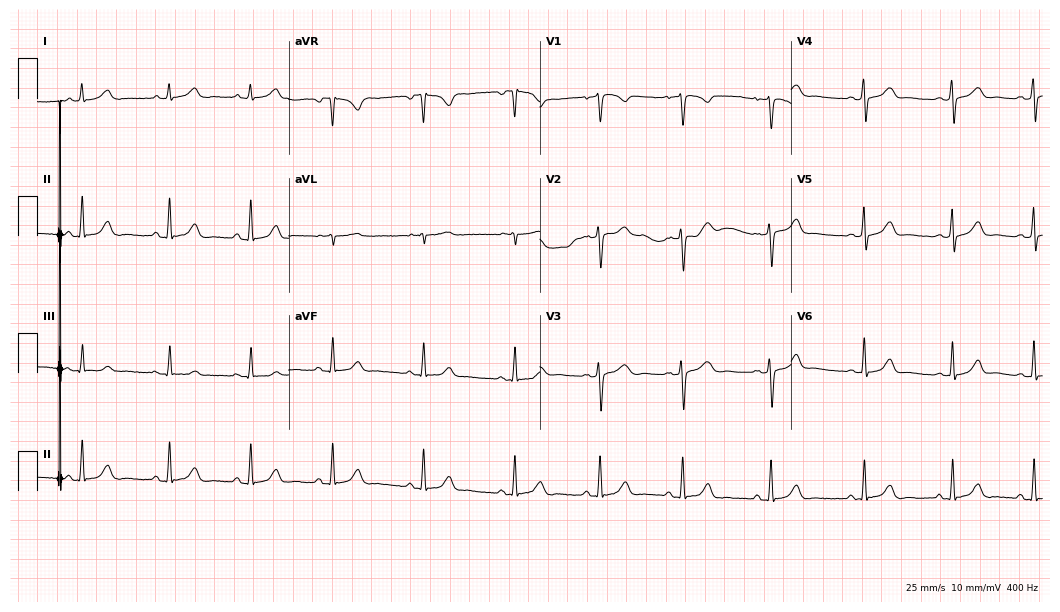
Electrocardiogram, a 35-year-old female. Overall reading on record: normal ECG.